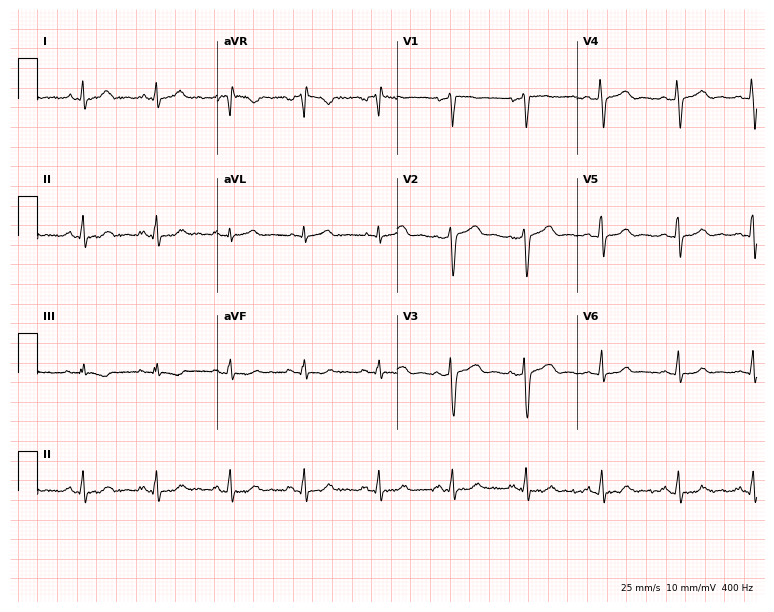
Standard 12-lead ECG recorded from a 32-year-old female. Read as a normal ECG.